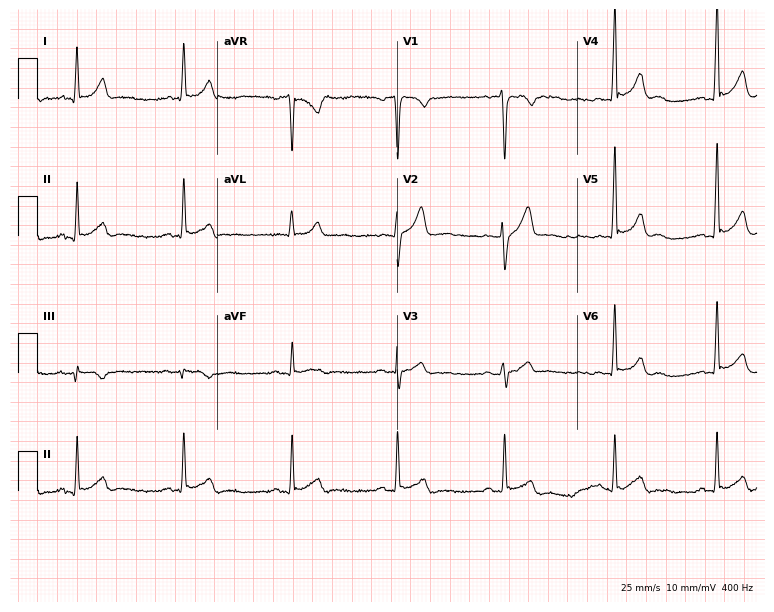
12-lead ECG (7.3-second recording at 400 Hz) from a man, 25 years old. Screened for six findings — first-degree AV block, right bundle branch block, left bundle branch block, sinus bradycardia, atrial fibrillation, sinus tachycardia — none is recorded.